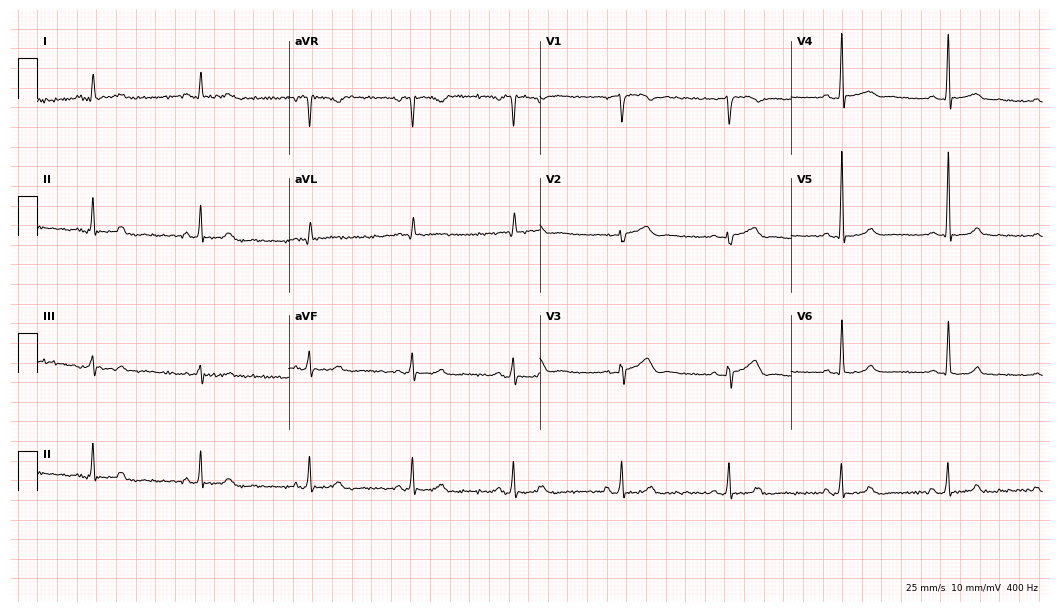
Resting 12-lead electrocardiogram (10.2-second recording at 400 Hz). Patient: a woman, 53 years old. None of these six findings is recorded: first-degree AV block, right bundle branch block (RBBB), left bundle branch block (LBBB), sinus bradycardia, atrial fibrillation (AF), sinus tachycardia.